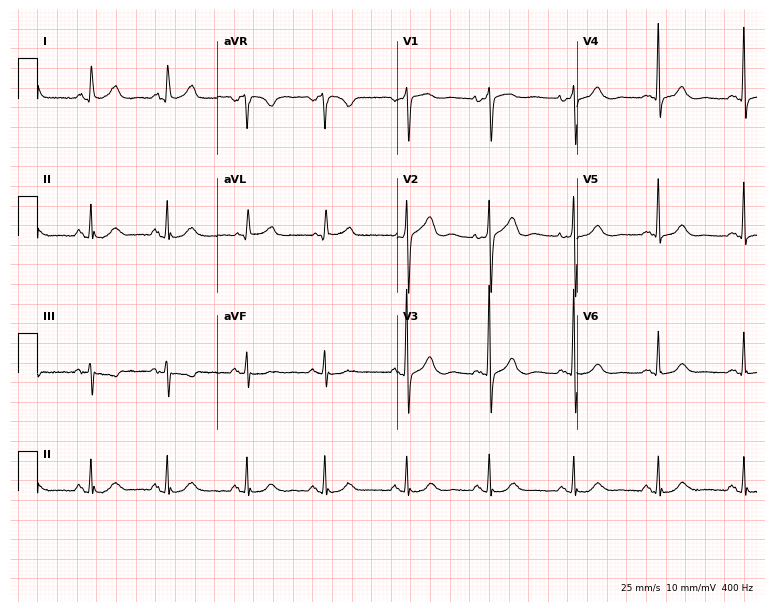
12-lead ECG (7.3-second recording at 400 Hz) from a female patient, 81 years old. Labelled as a normal ECG.